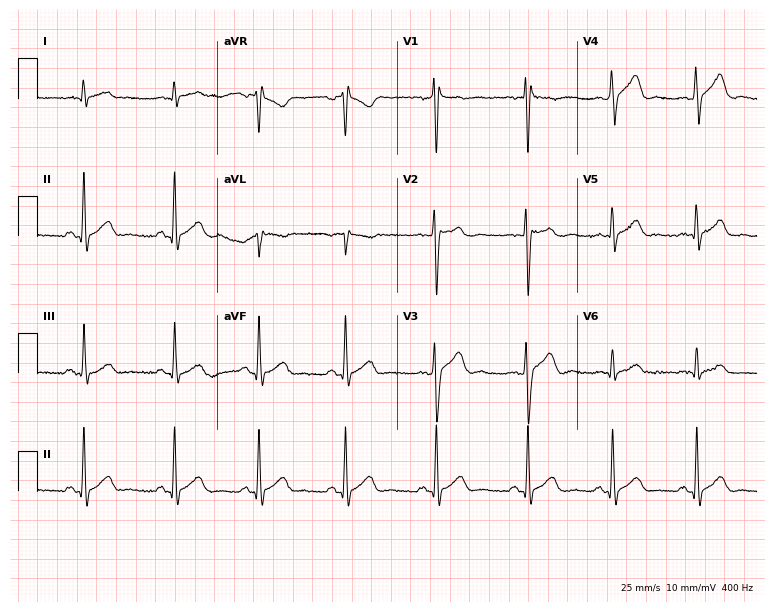
ECG — a 21-year-old male. Screened for six findings — first-degree AV block, right bundle branch block (RBBB), left bundle branch block (LBBB), sinus bradycardia, atrial fibrillation (AF), sinus tachycardia — none is recorded. Only these six findings were labelled.